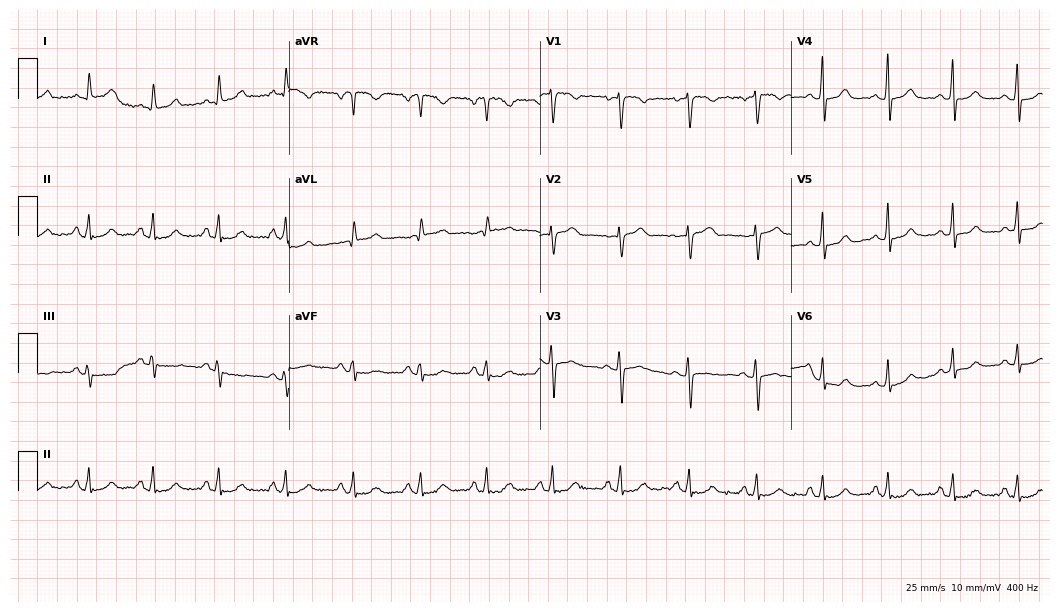
Resting 12-lead electrocardiogram. Patient: a 53-year-old female. Read as a normal ECG.